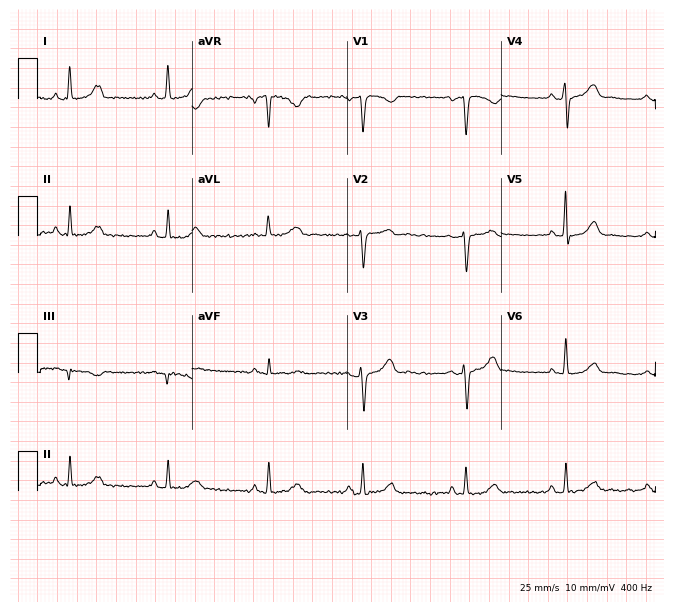
Resting 12-lead electrocardiogram. Patient: a female, 44 years old. None of these six findings is recorded: first-degree AV block, right bundle branch block, left bundle branch block, sinus bradycardia, atrial fibrillation, sinus tachycardia. Only these six findings were labelled.